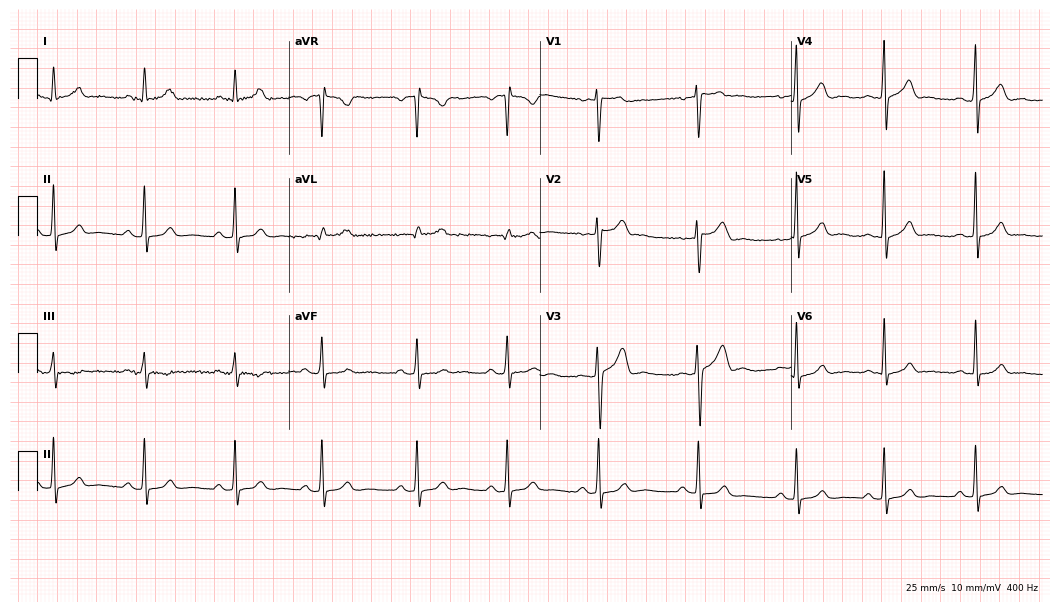
Standard 12-lead ECG recorded from a female patient, 25 years old. Read as a normal ECG.